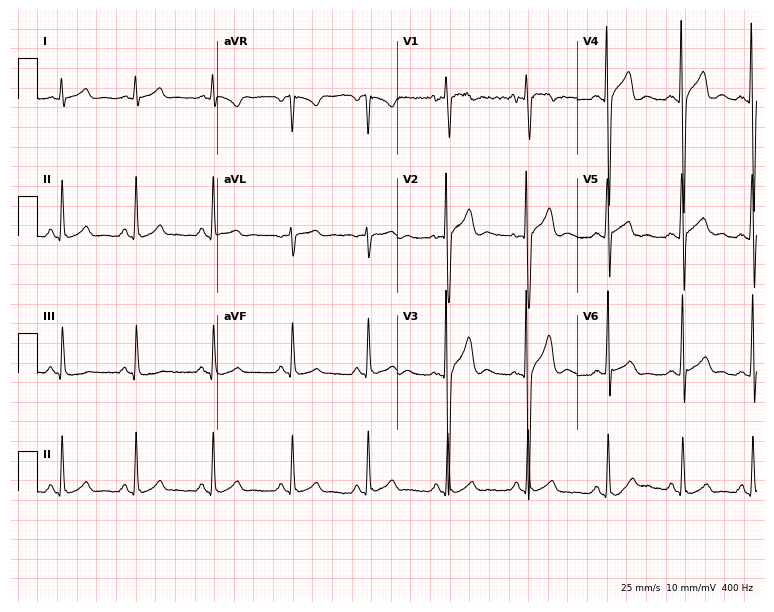
12-lead ECG (7.3-second recording at 400 Hz) from a man, 18 years old. Screened for six findings — first-degree AV block, right bundle branch block, left bundle branch block, sinus bradycardia, atrial fibrillation, sinus tachycardia — none is recorded.